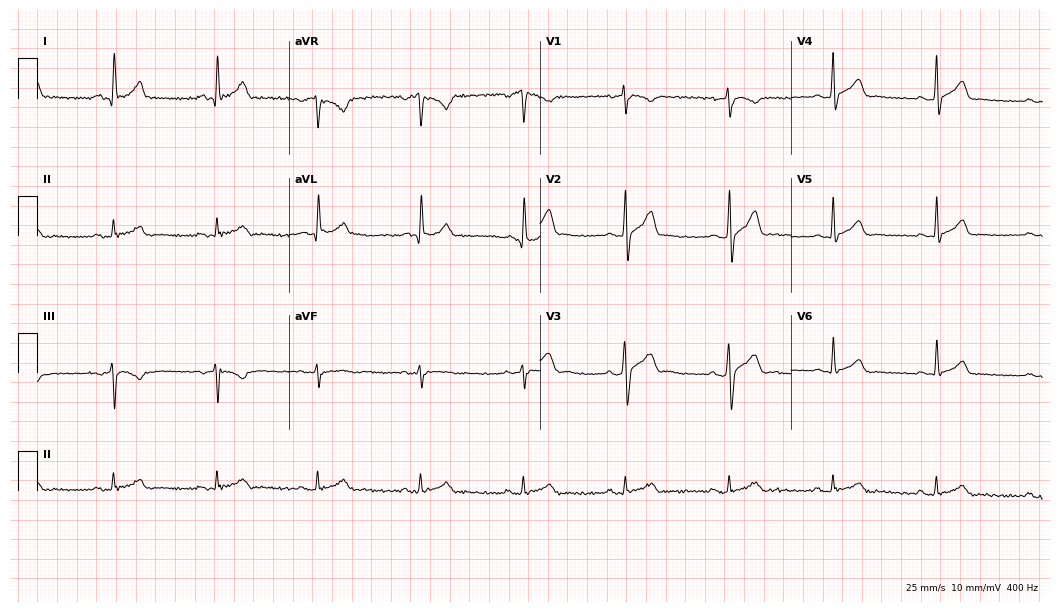
ECG — a 38-year-old male patient. Labelled as a normal ECG.